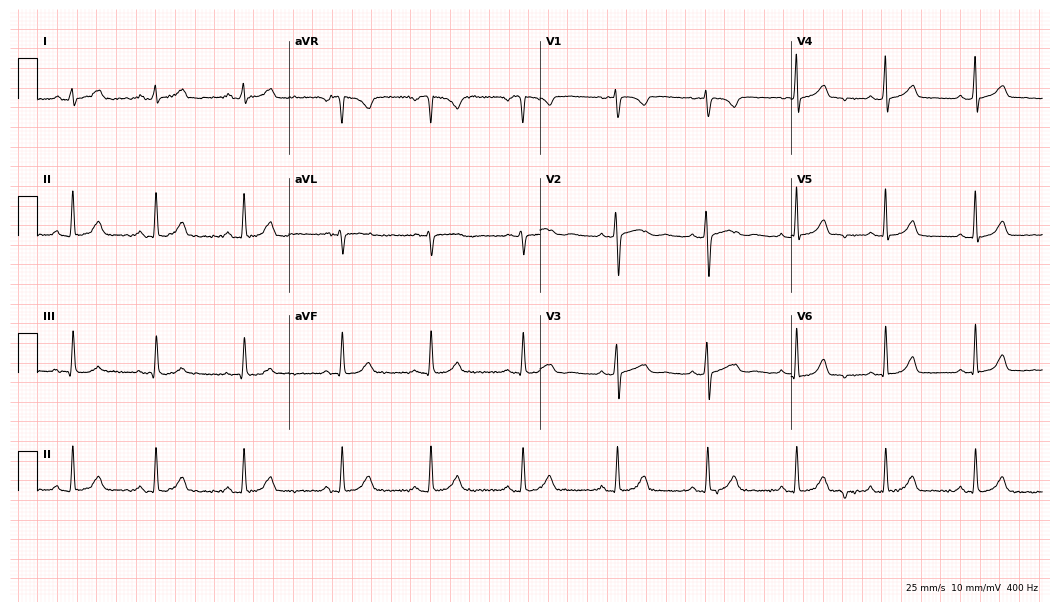
ECG (10.2-second recording at 400 Hz) — a 30-year-old woman. Screened for six findings — first-degree AV block, right bundle branch block (RBBB), left bundle branch block (LBBB), sinus bradycardia, atrial fibrillation (AF), sinus tachycardia — none is recorded.